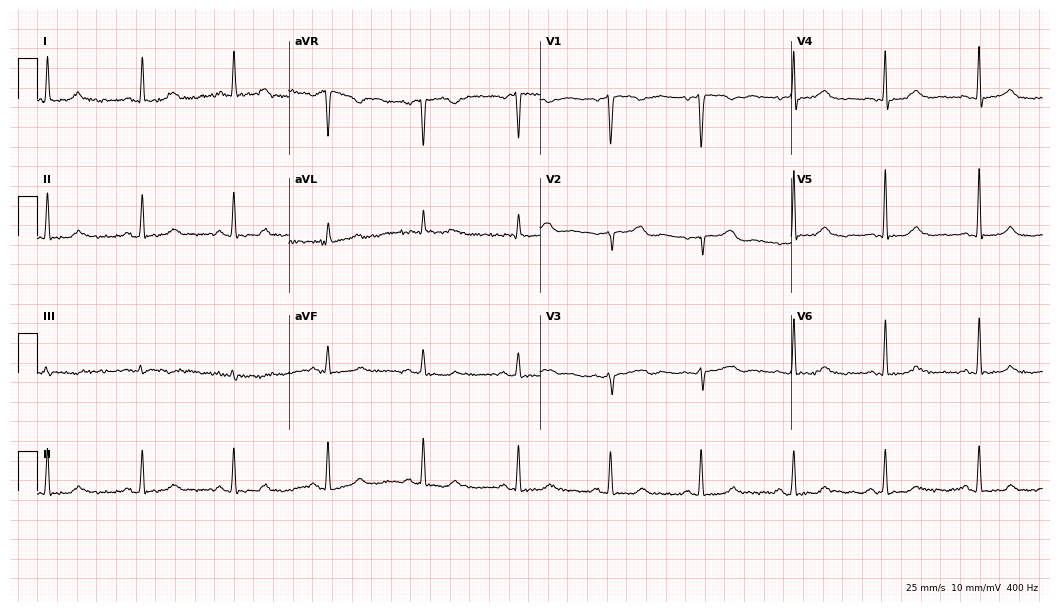
Standard 12-lead ECG recorded from a female, 64 years old (10.2-second recording at 400 Hz). None of these six findings is recorded: first-degree AV block, right bundle branch block, left bundle branch block, sinus bradycardia, atrial fibrillation, sinus tachycardia. Other findings, if any, are not listed.